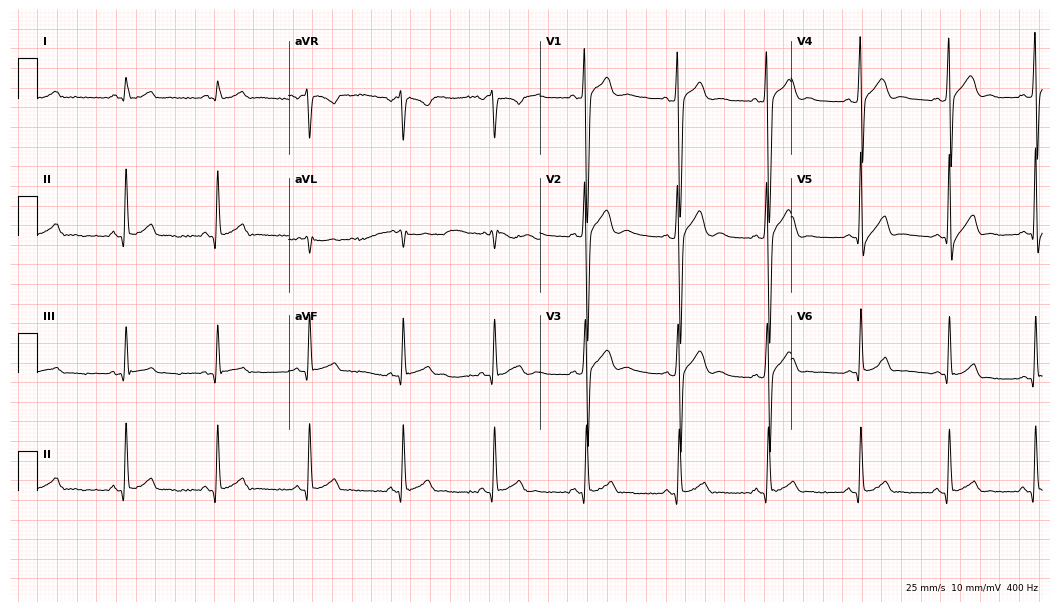
12-lead ECG from a male patient, 18 years old (10.2-second recording at 400 Hz). No first-degree AV block, right bundle branch block (RBBB), left bundle branch block (LBBB), sinus bradycardia, atrial fibrillation (AF) or sinus tachycardia recorded for this tracing.